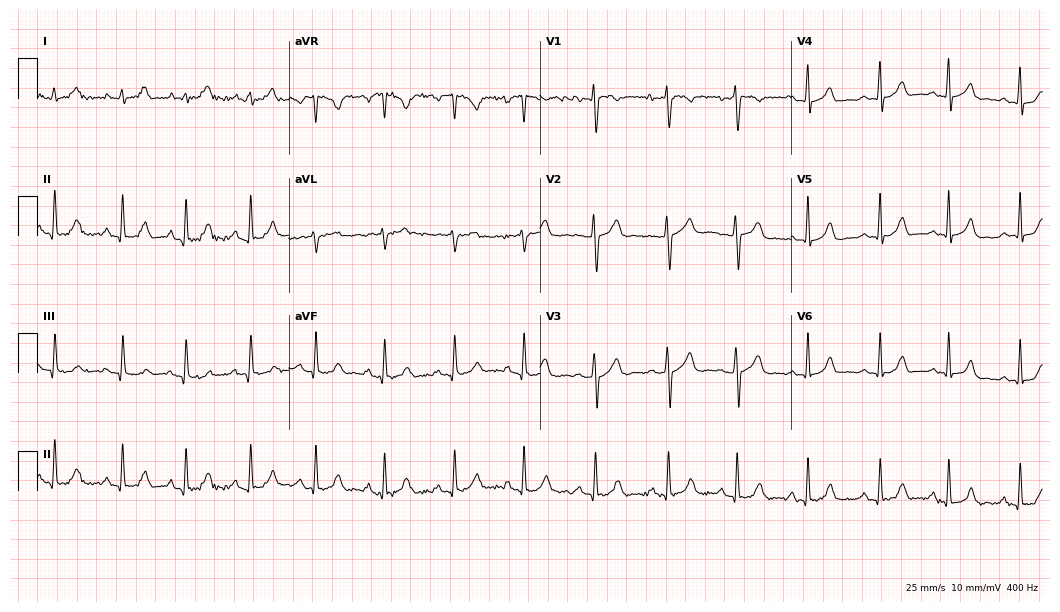
Electrocardiogram (10.2-second recording at 400 Hz), a female, 23 years old. Overall reading on record: normal ECG.